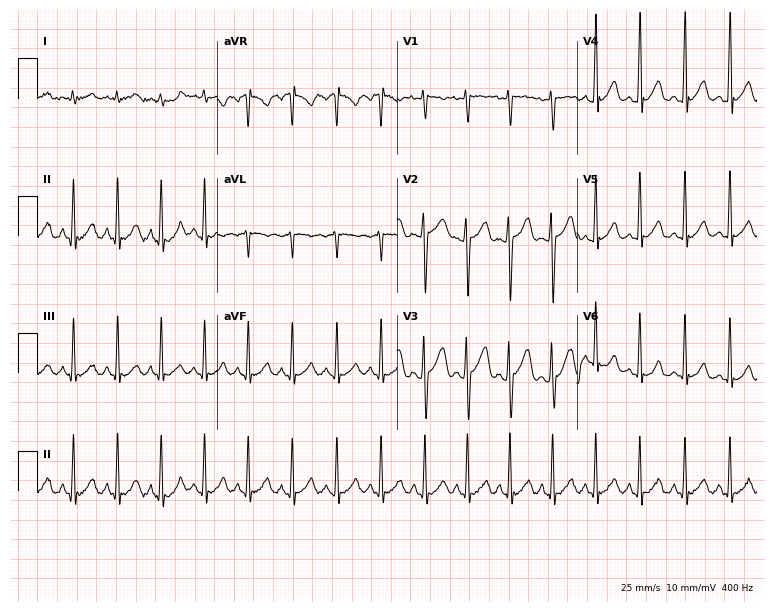
Resting 12-lead electrocardiogram. Patient: a female, 22 years old. None of these six findings is recorded: first-degree AV block, right bundle branch block (RBBB), left bundle branch block (LBBB), sinus bradycardia, atrial fibrillation (AF), sinus tachycardia.